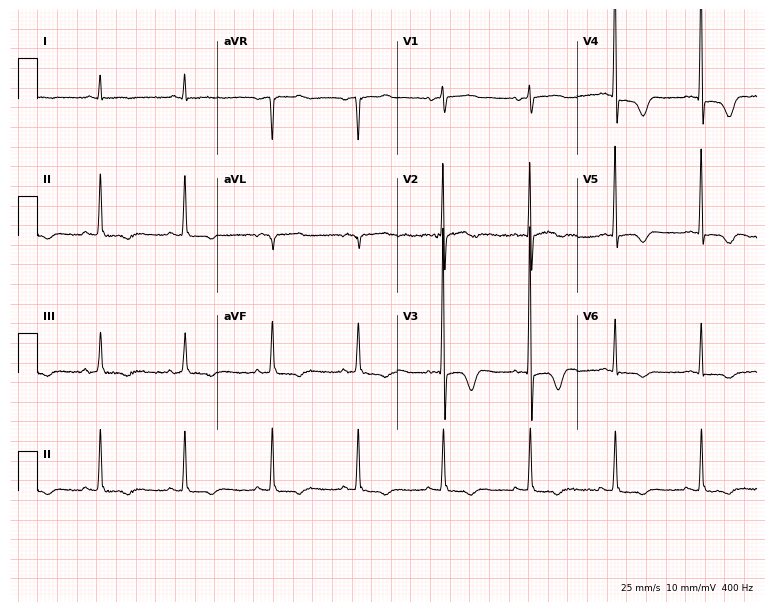
12-lead ECG (7.3-second recording at 400 Hz) from an 84-year-old woman. Screened for six findings — first-degree AV block, right bundle branch block, left bundle branch block, sinus bradycardia, atrial fibrillation, sinus tachycardia — none is recorded. Only these six findings were labelled.